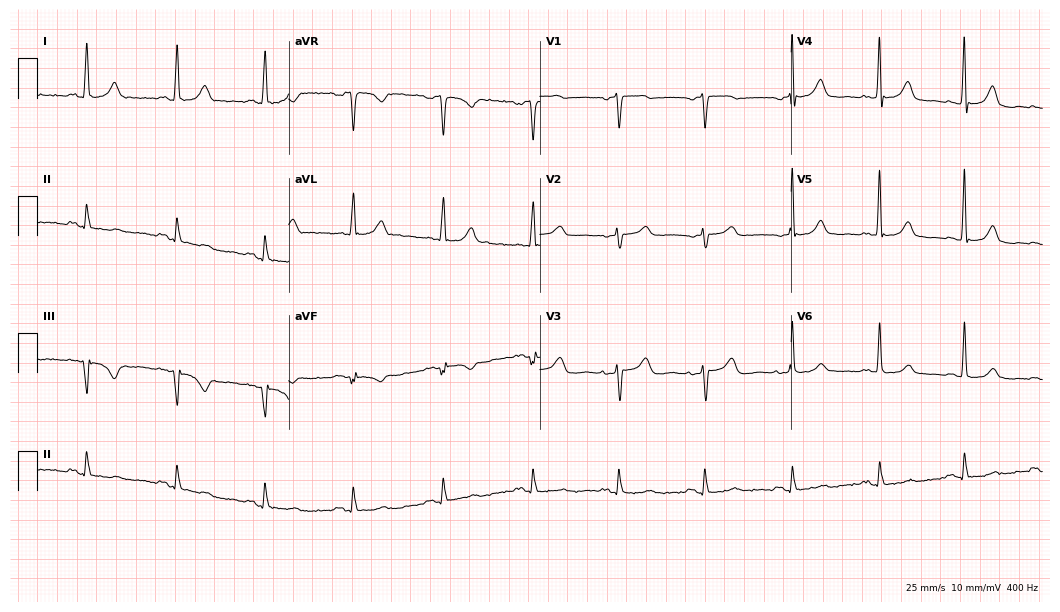
Electrocardiogram, a 71-year-old female patient. Overall reading on record: normal ECG.